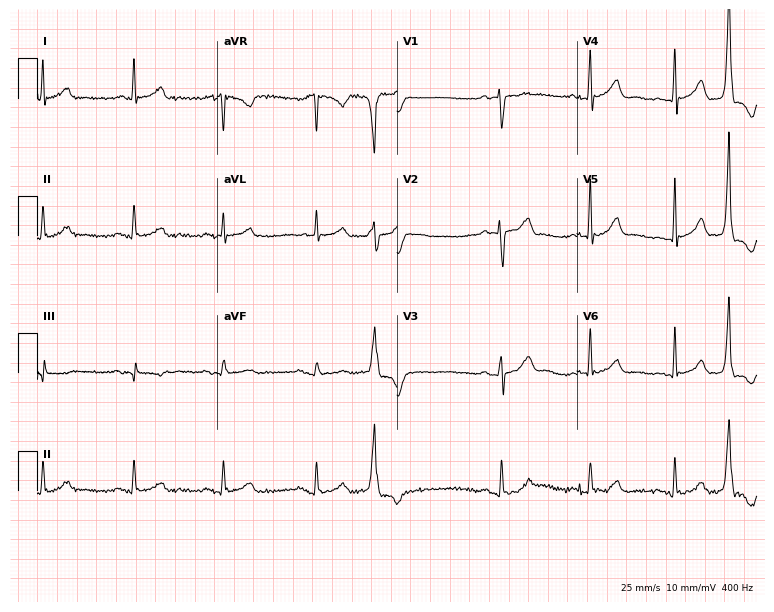
ECG — a 64-year-old male patient. Screened for six findings — first-degree AV block, right bundle branch block, left bundle branch block, sinus bradycardia, atrial fibrillation, sinus tachycardia — none is recorded.